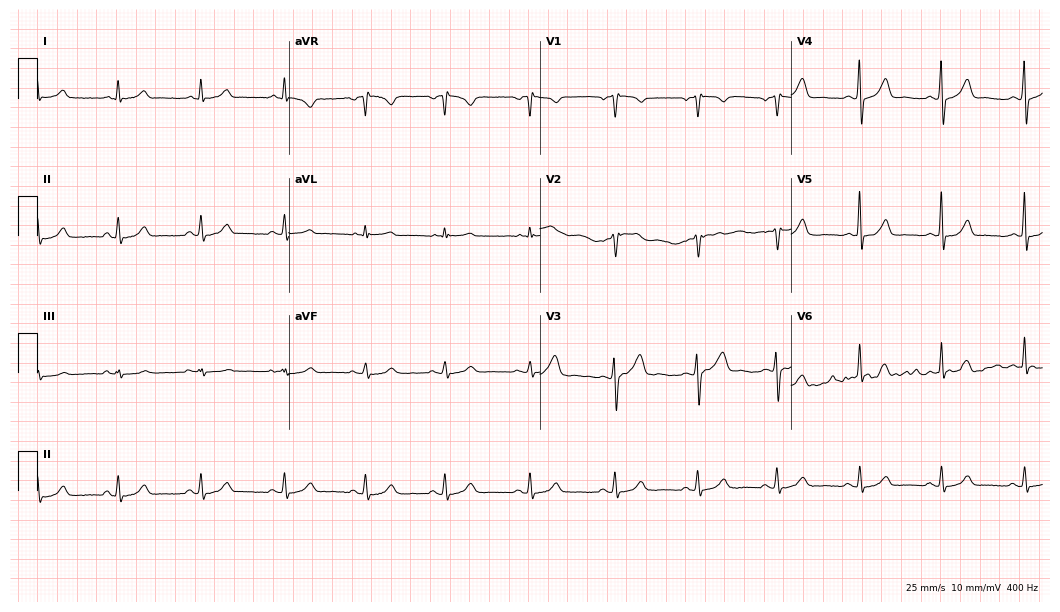
Resting 12-lead electrocardiogram (10.2-second recording at 400 Hz). Patient: a female, 47 years old. Read as a normal ECG.